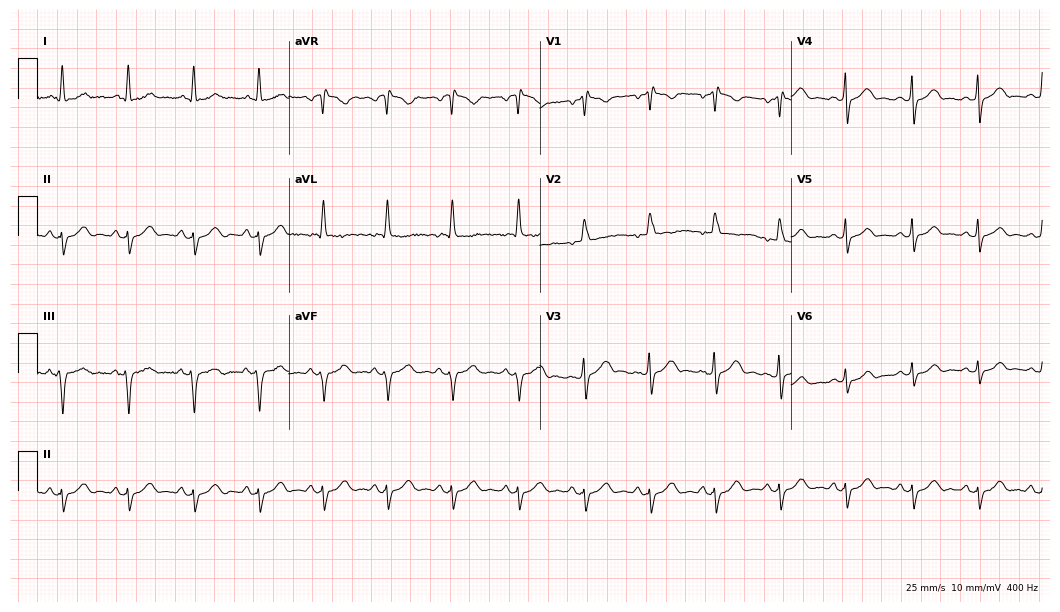
ECG (10.2-second recording at 400 Hz) — a 38-year-old woman. Screened for six findings — first-degree AV block, right bundle branch block (RBBB), left bundle branch block (LBBB), sinus bradycardia, atrial fibrillation (AF), sinus tachycardia — none is recorded. Other findings, if any, are not listed.